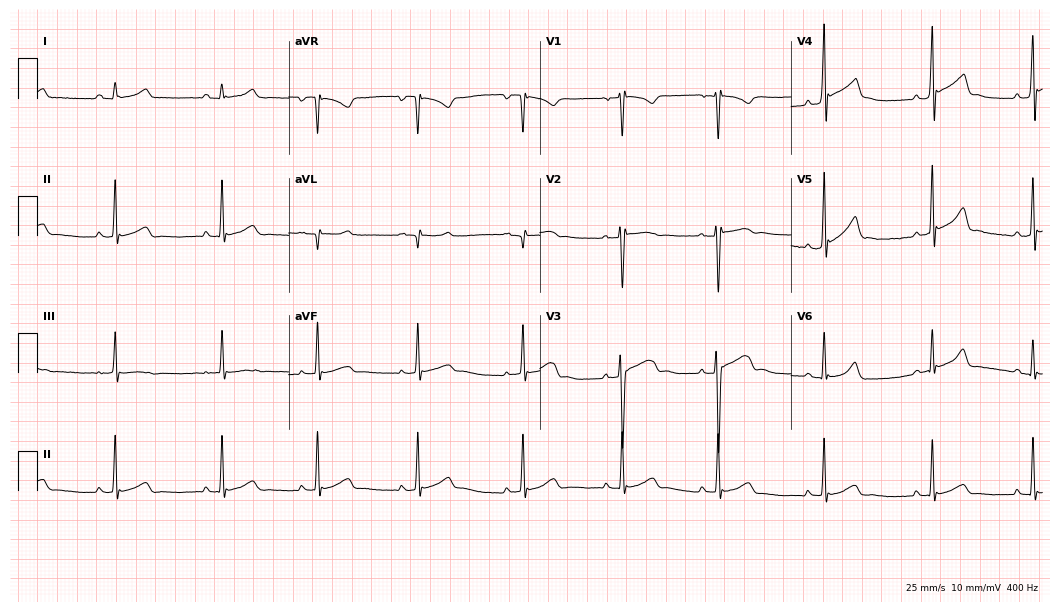
ECG (10.2-second recording at 400 Hz) — a male patient, 17 years old. Labelled as a normal ECG.